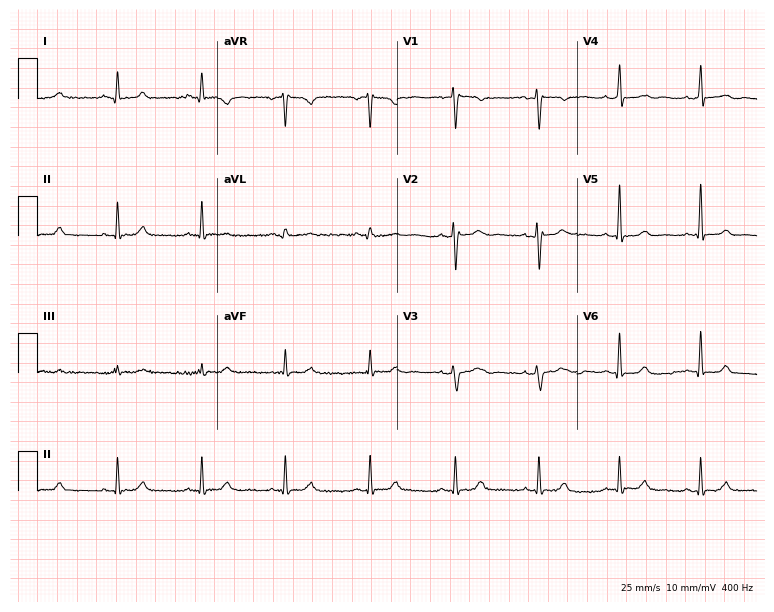
ECG — a 36-year-old female. Screened for six findings — first-degree AV block, right bundle branch block, left bundle branch block, sinus bradycardia, atrial fibrillation, sinus tachycardia — none is recorded.